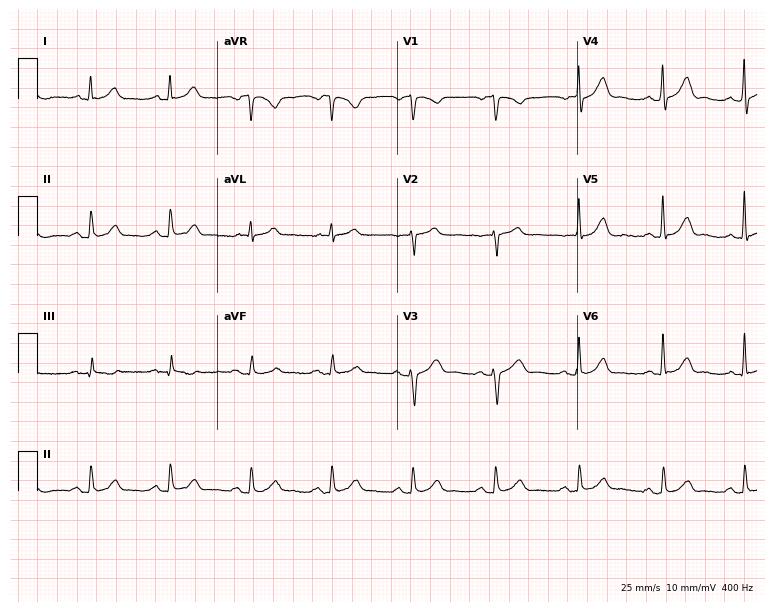
ECG — a male patient, 62 years old. Labelled as a normal ECG.